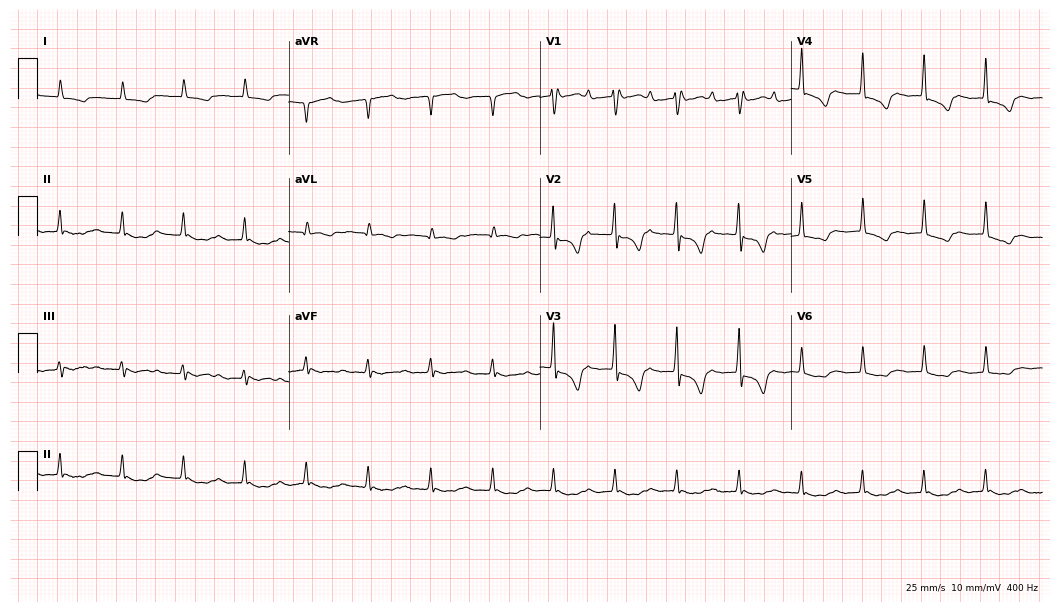
12-lead ECG from a female, 77 years old. No first-degree AV block, right bundle branch block (RBBB), left bundle branch block (LBBB), sinus bradycardia, atrial fibrillation (AF) or sinus tachycardia recorded for this tracing.